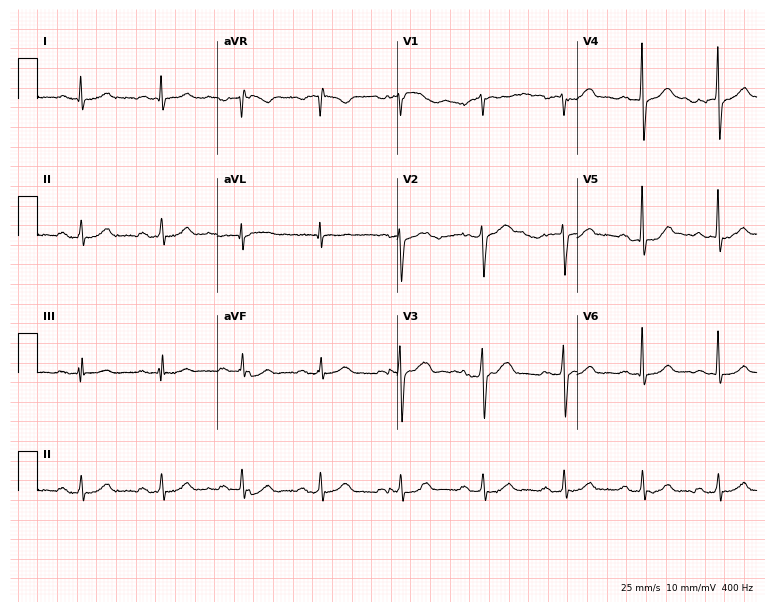
Standard 12-lead ECG recorded from a 49-year-old male (7.3-second recording at 400 Hz). Read as a normal ECG.